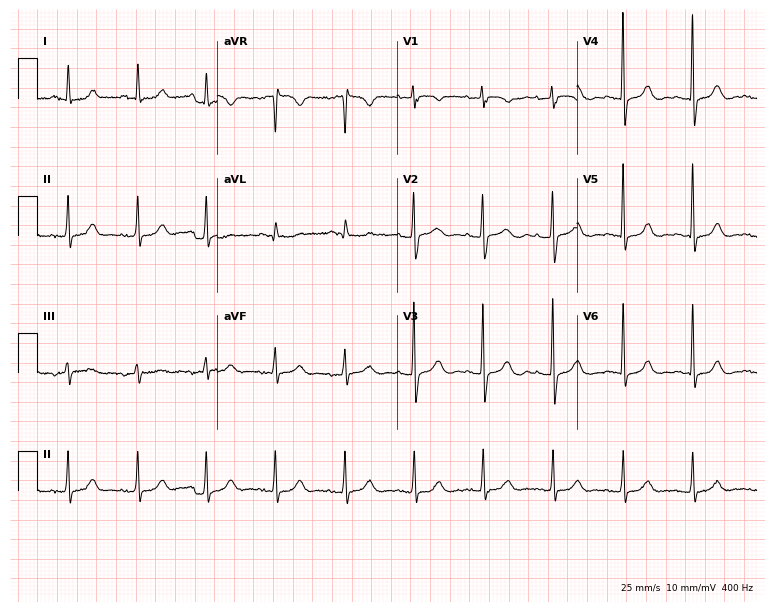
12-lead ECG from a woman, 71 years old. No first-degree AV block, right bundle branch block (RBBB), left bundle branch block (LBBB), sinus bradycardia, atrial fibrillation (AF) or sinus tachycardia recorded for this tracing.